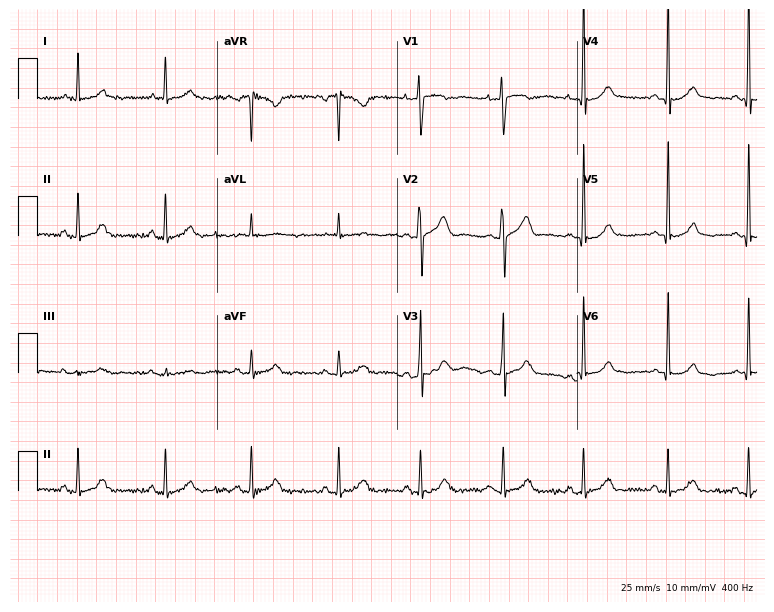
Electrocardiogram (7.3-second recording at 400 Hz), a 36-year-old female patient. Overall reading on record: normal ECG.